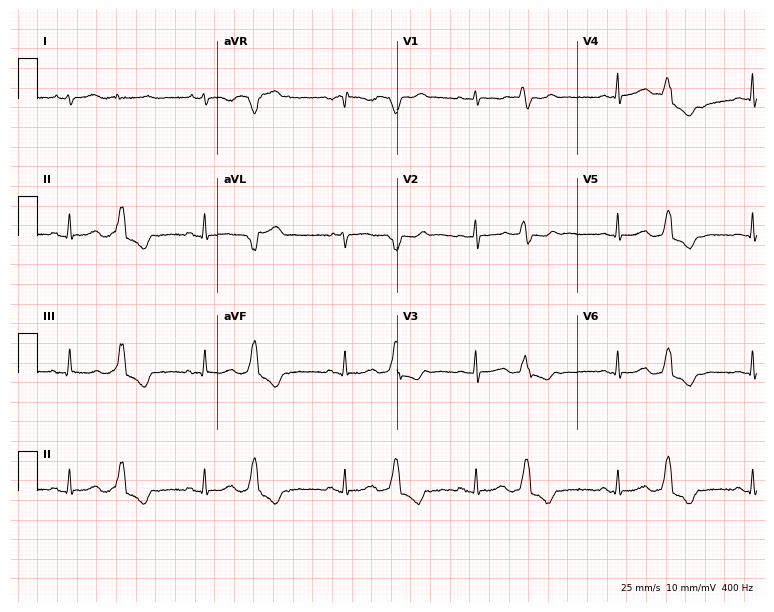
12-lead ECG (7.3-second recording at 400 Hz) from a 36-year-old female patient. Screened for six findings — first-degree AV block, right bundle branch block, left bundle branch block, sinus bradycardia, atrial fibrillation, sinus tachycardia — none is recorded.